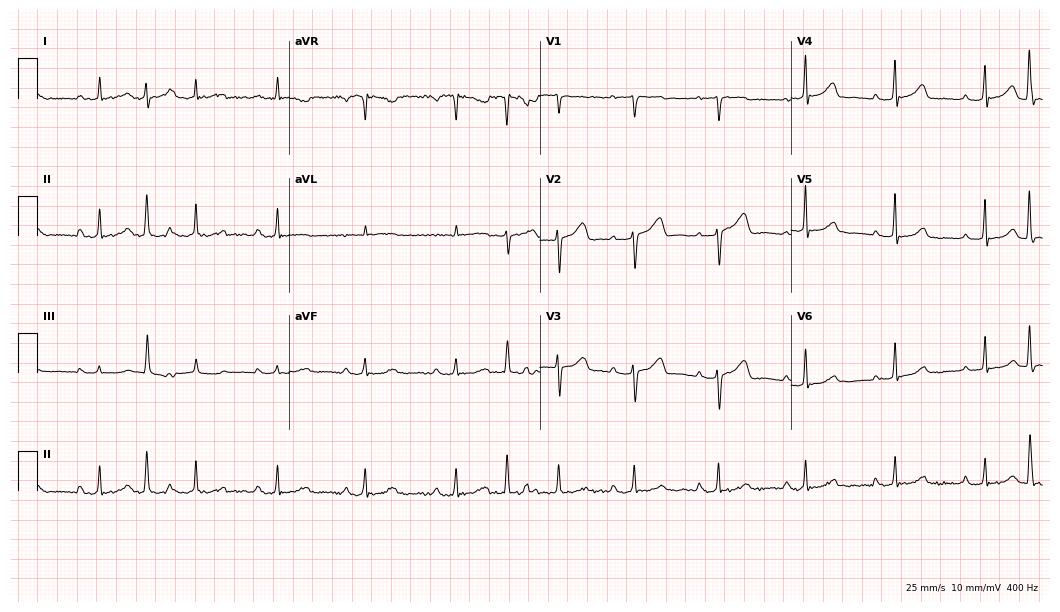
Standard 12-lead ECG recorded from a 52-year-old female. None of these six findings is recorded: first-degree AV block, right bundle branch block, left bundle branch block, sinus bradycardia, atrial fibrillation, sinus tachycardia.